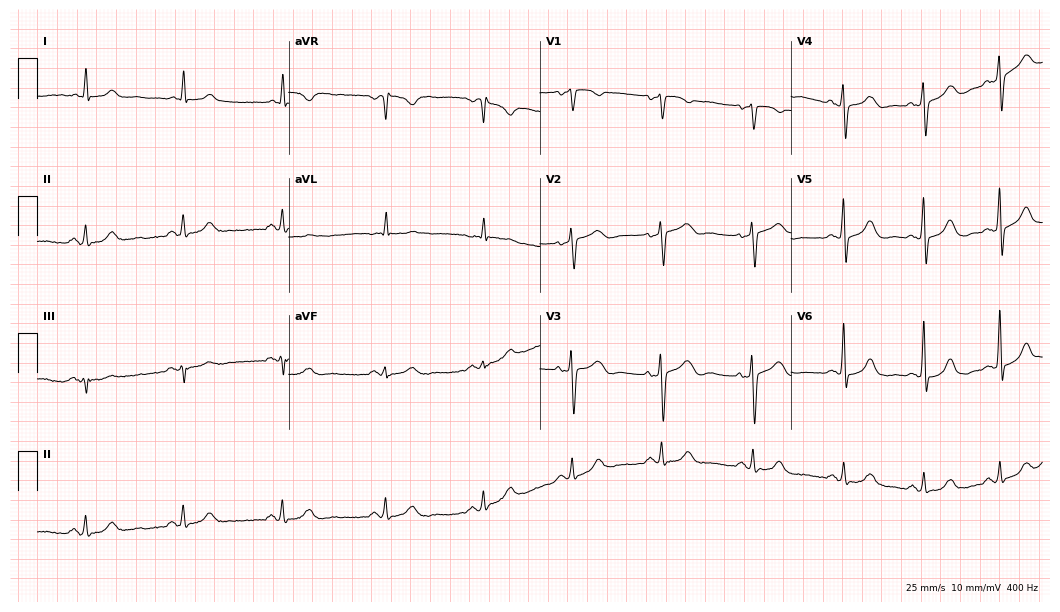
12-lead ECG from a woman, 75 years old (10.2-second recording at 400 Hz). Recorded interpretation: within normal limits.